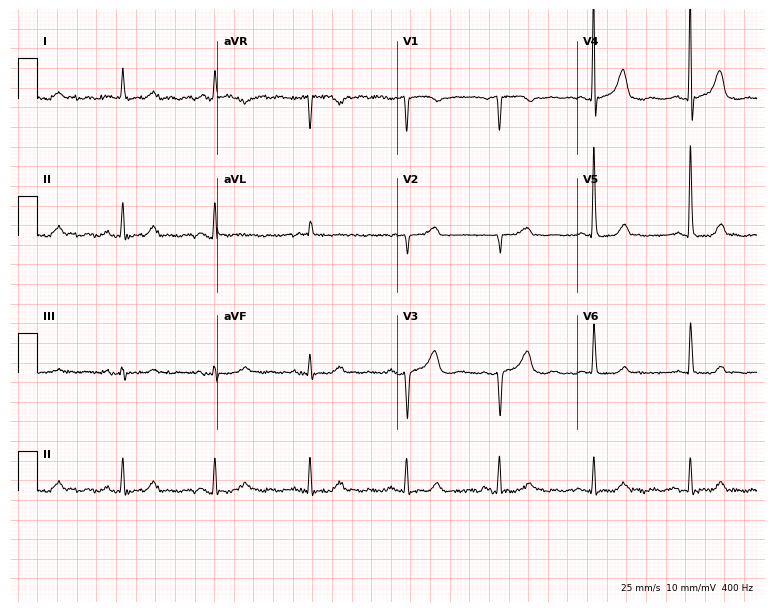
ECG (7.3-second recording at 400 Hz) — a 78-year-old female patient. Screened for six findings — first-degree AV block, right bundle branch block, left bundle branch block, sinus bradycardia, atrial fibrillation, sinus tachycardia — none is recorded.